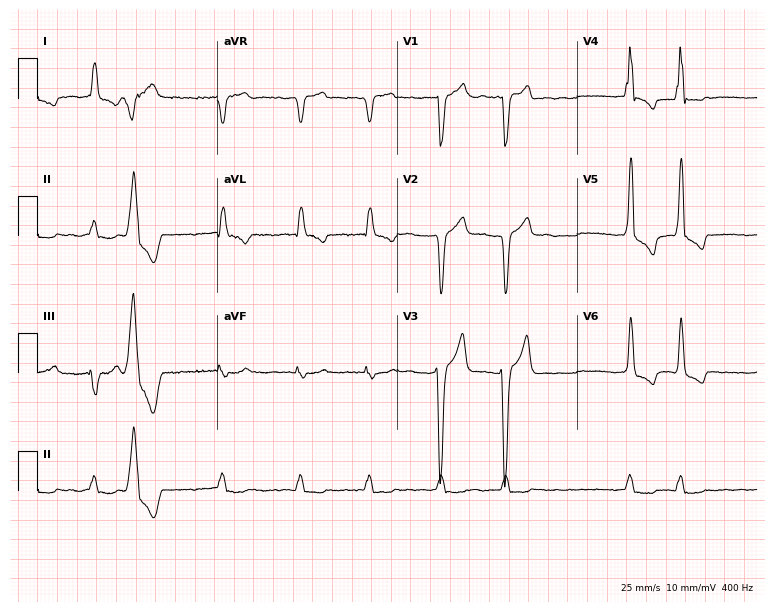
12-lead ECG (7.3-second recording at 400 Hz) from a male, 74 years old. Findings include left bundle branch block, atrial fibrillation.